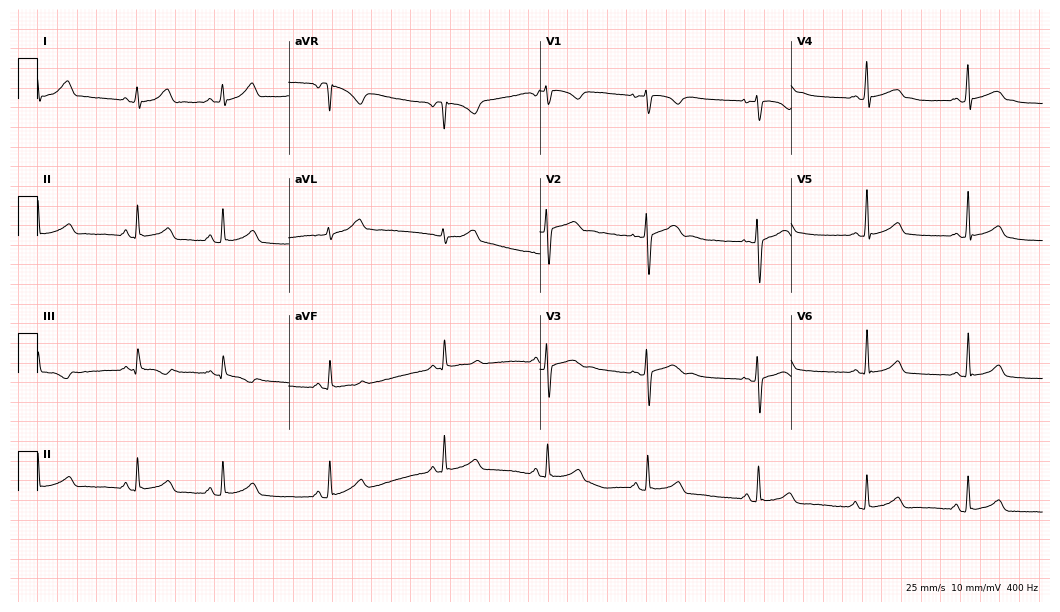
ECG — a female patient, 22 years old. Screened for six findings — first-degree AV block, right bundle branch block (RBBB), left bundle branch block (LBBB), sinus bradycardia, atrial fibrillation (AF), sinus tachycardia — none is recorded.